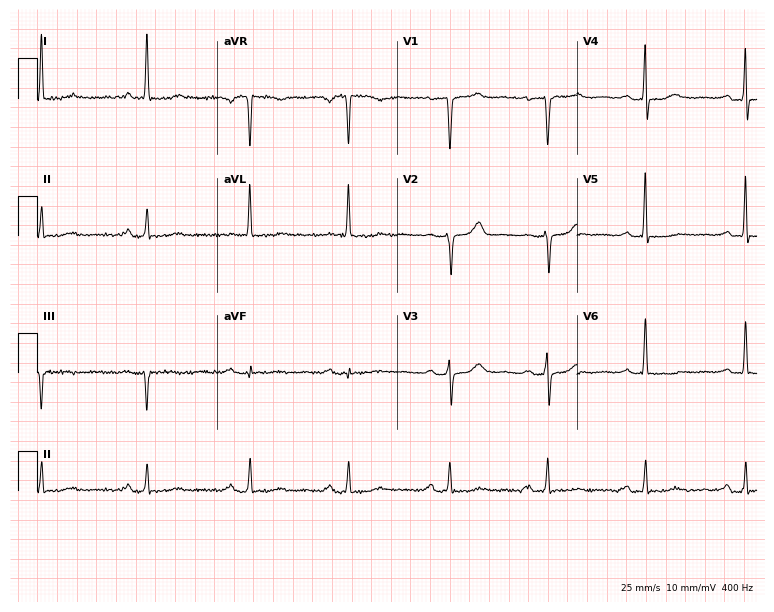
Electrocardiogram, a female, 73 years old. Overall reading on record: normal ECG.